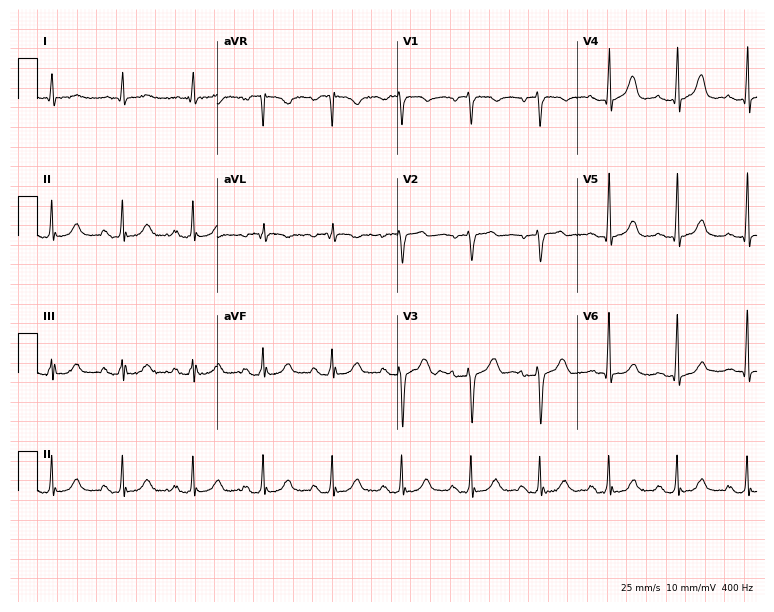
Resting 12-lead electrocardiogram (7.3-second recording at 400 Hz). Patient: a 74-year-old man. Read as a normal ECG.